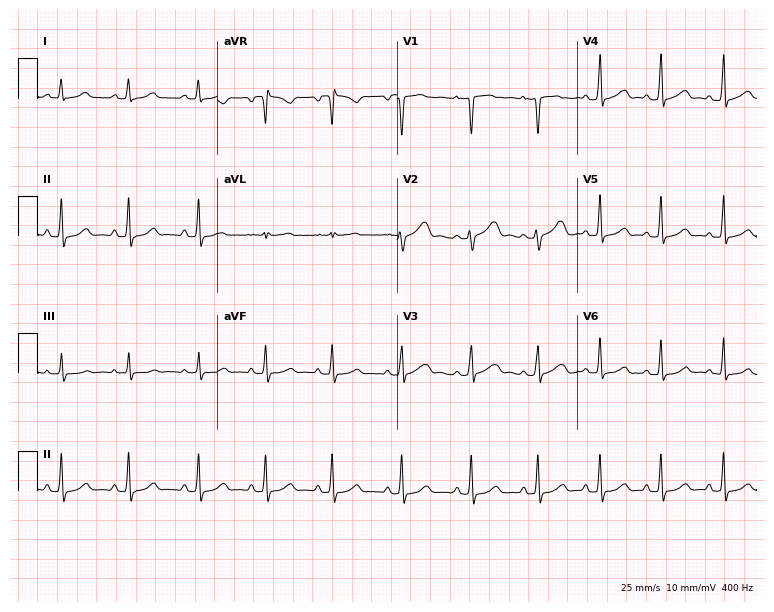
Electrocardiogram (7.3-second recording at 400 Hz), a female, 22 years old. Of the six screened findings (first-degree AV block, right bundle branch block, left bundle branch block, sinus bradycardia, atrial fibrillation, sinus tachycardia), none is recorded.